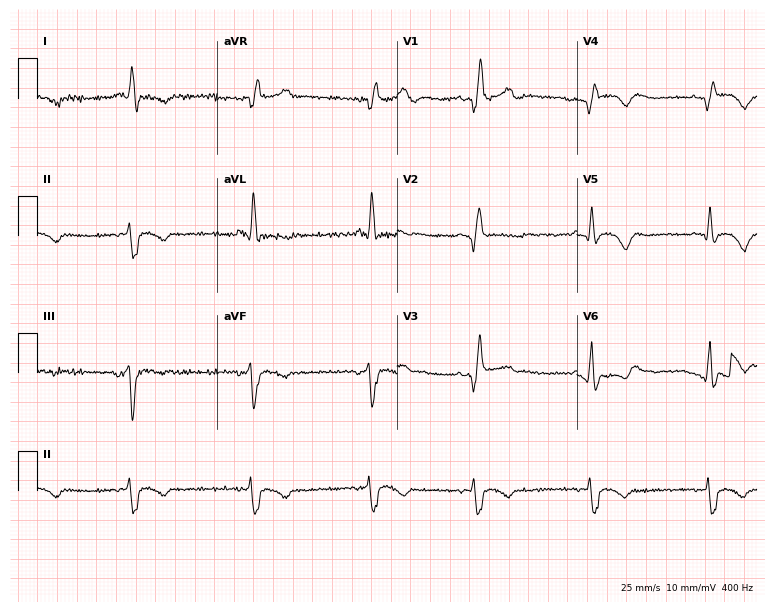
Standard 12-lead ECG recorded from a 70-year-old male patient (7.3-second recording at 400 Hz). None of these six findings is recorded: first-degree AV block, right bundle branch block, left bundle branch block, sinus bradycardia, atrial fibrillation, sinus tachycardia. Only these six findings were labelled.